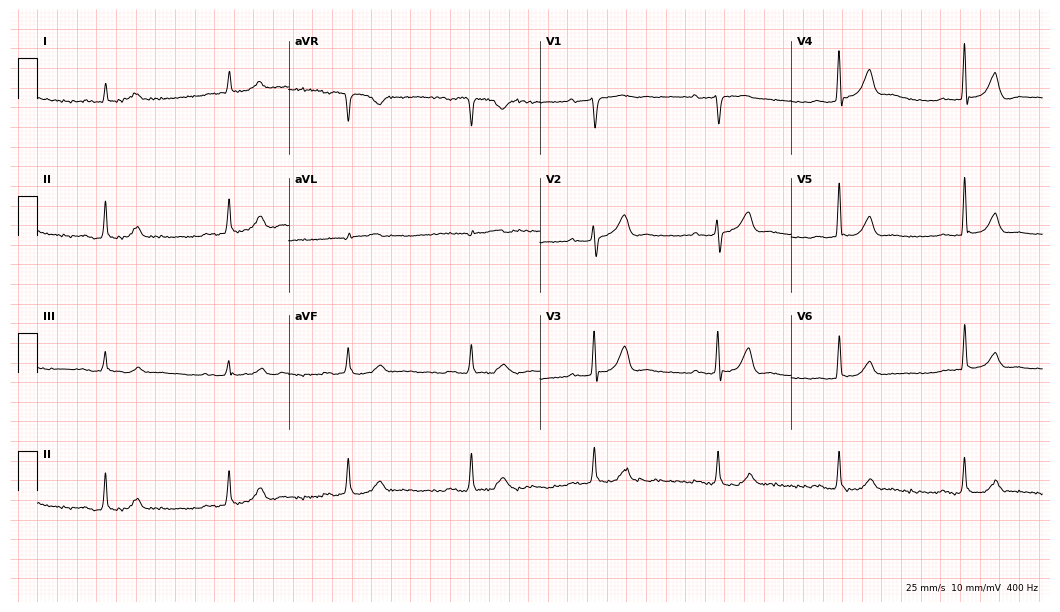
Standard 12-lead ECG recorded from a male, 80 years old (10.2-second recording at 400 Hz). None of these six findings is recorded: first-degree AV block, right bundle branch block, left bundle branch block, sinus bradycardia, atrial fibrillation, sinus tachycardia.